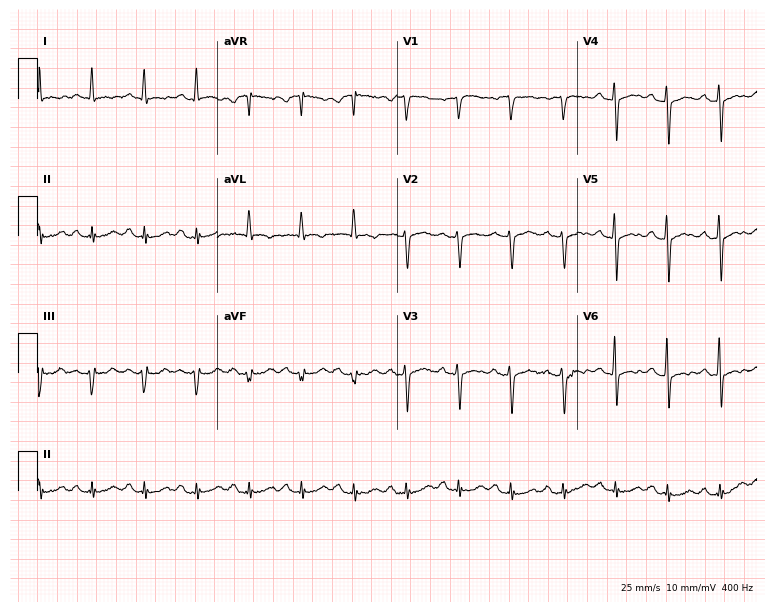
Resting 12-lead electrocardiogram. Patient: a man, 82 years old. The tracing shows sinus tachycardia (a sinus rate of 100 beats per minute or more).